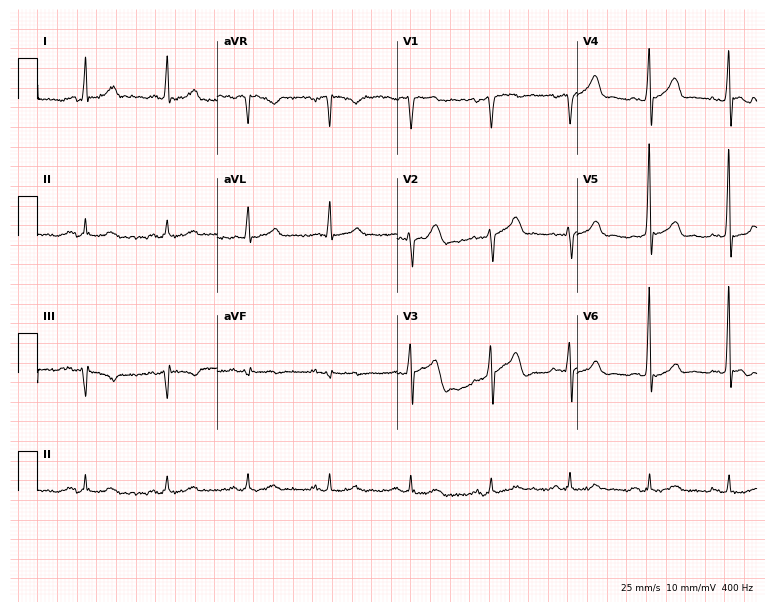
Standard 12-lead ECG recorded from a male, 62 years old. None of these six findings is recorded: first-degree AV block, right bundle branch block, left bundle branch block, sinus bradycardia, atrial fibrillation, sinus tachycardia. Other findings, if any, are not listed.